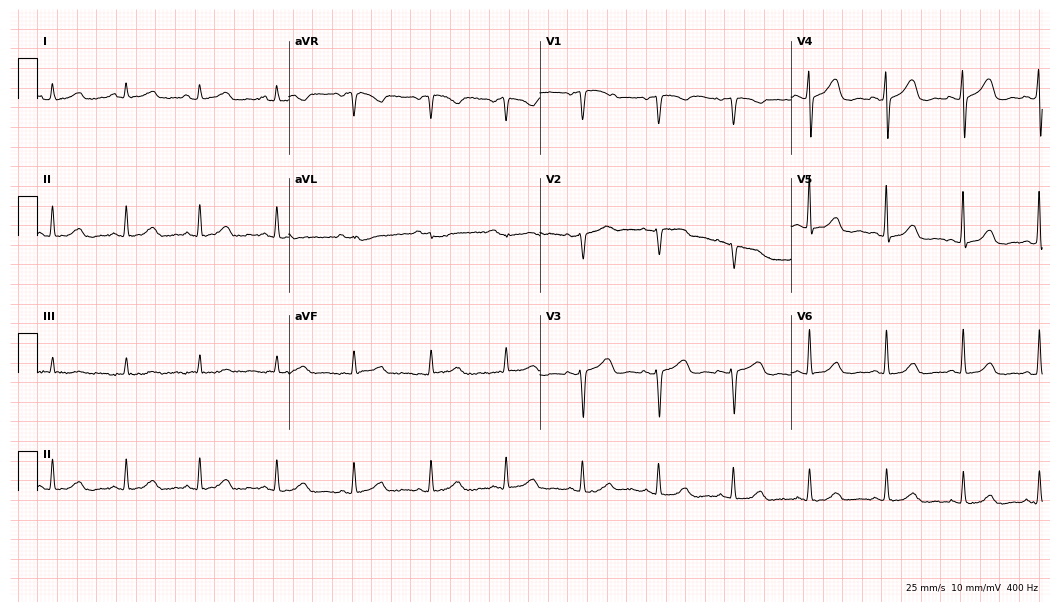
Resting 12-lead electrocardiogram. Patient: a woman, 54 years old. None of these six findings is recorded: first-degree AV block, right bundle branch block, left bundle branch block, sinus bradycardia, atrial fibrillation, sinus tachycardia.